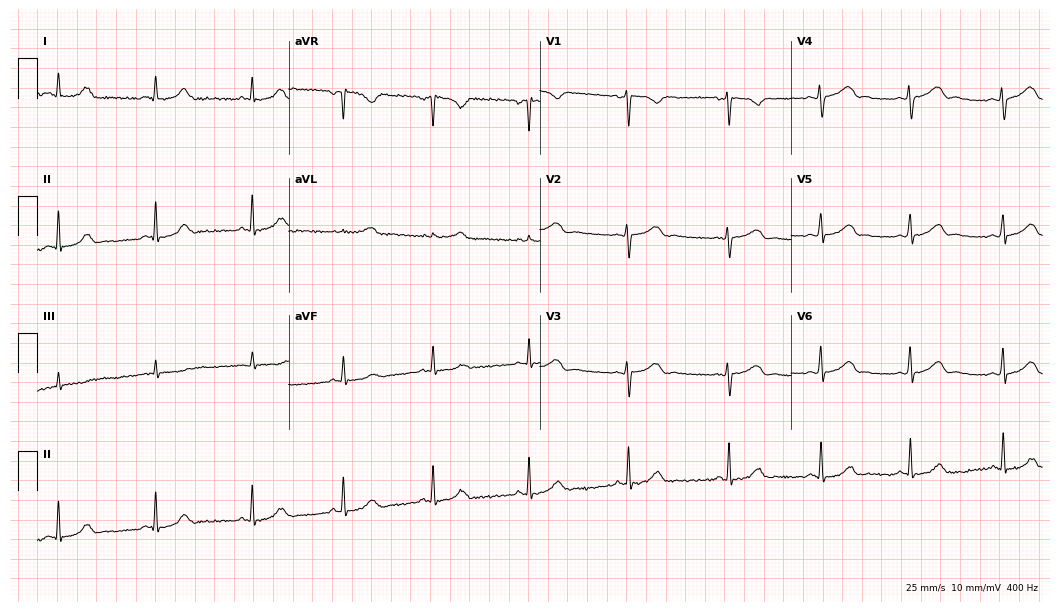
12-lead ECG (10.2-second recording at 400 Hz) from a woman, 27 years old. Labelled as a normal ECG.